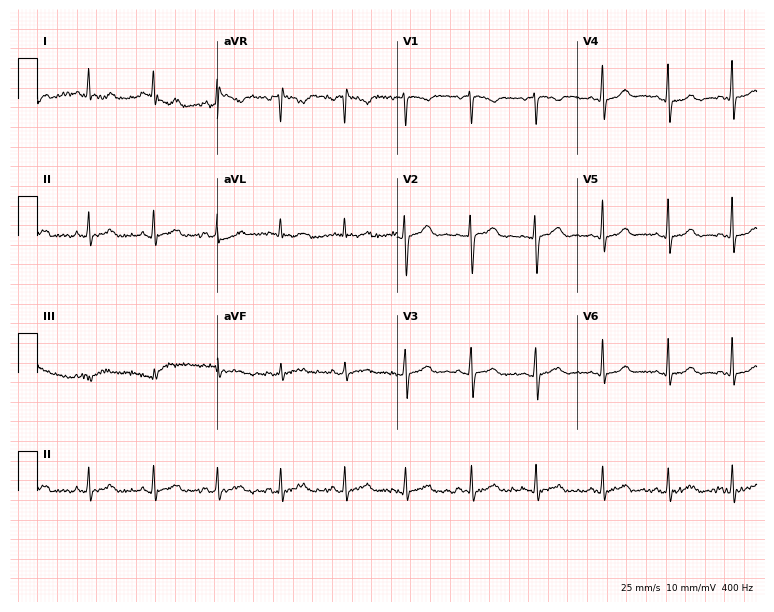
Electrocardiogram (7.3-second recording at 400 Hz), an 18-year-old female patient. Of the six screened findings (first-degree AV block, right bundle branch block, left bundle branch block, sinus bradycardia, atrial fibrillation, sinus tachycardia), none is recorded.